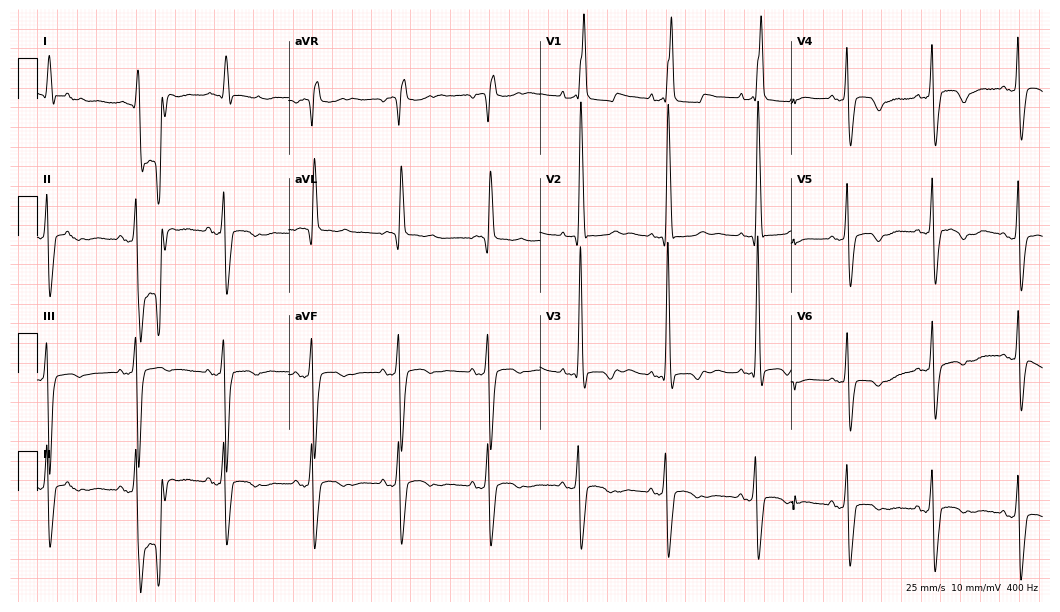
Electrocardiogram, a female patient, 81 years old. Interpretation includes right bundle branch block.